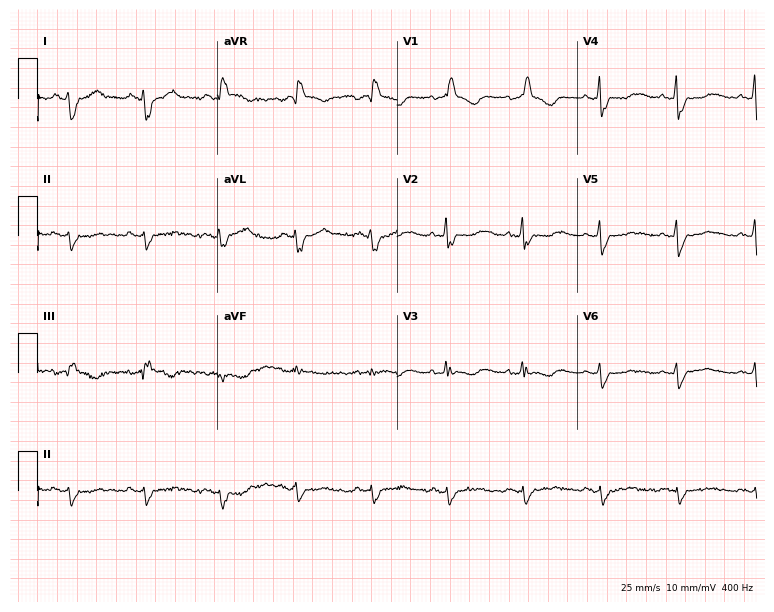
Electrocardiogram, a 60-year-old woman. Of the six screened findings (first-degree AV block, right bundle branch block, left bundle branch block, sinus bradycardia, atrial fibrillation, sinus tachycardia), none is recorded. Other findings, if any, are not listed.